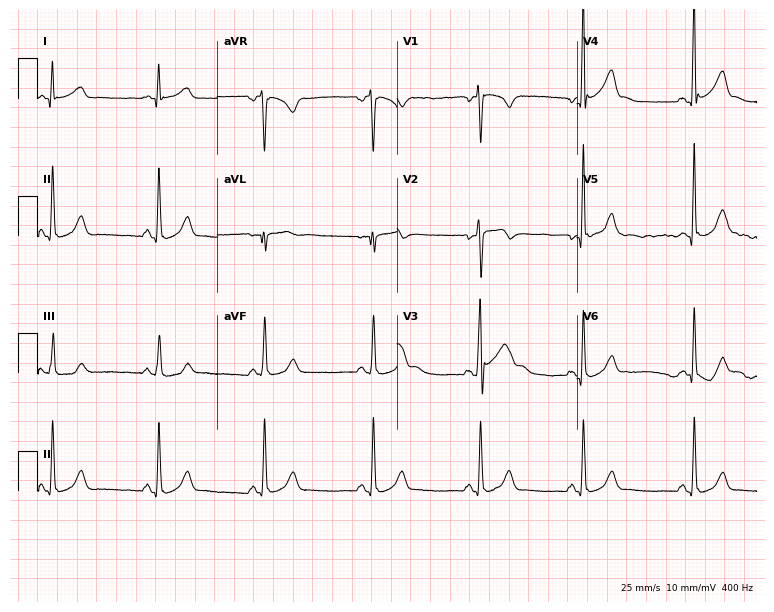
Electrocardiogram, a male patient, 29 years old. Overall reading on record: normal ECG.